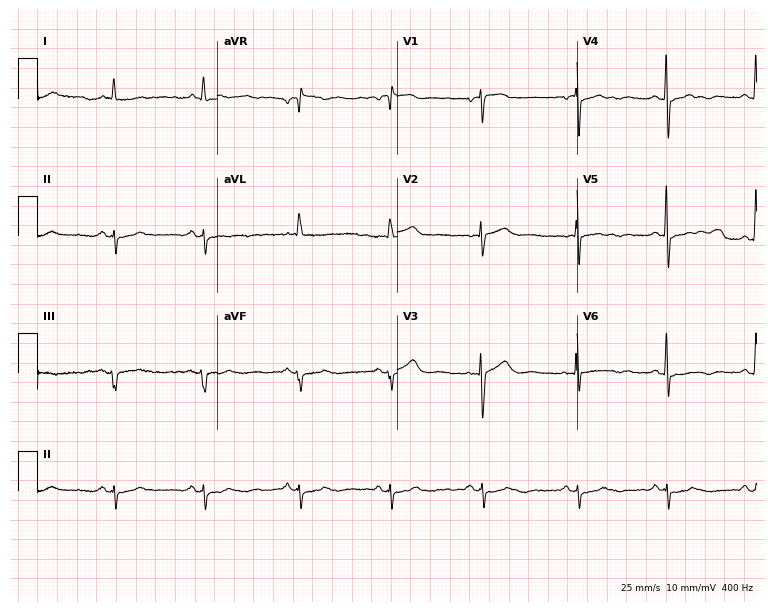
ECG — a 74-year-old female patient. Screened for six findings — first-degree AV block, right bundle branch block (RBBB), left bundle branch block (LBBB), sinus bradycardia, atrial fibrillation (AF), sinus tachycardia — none is recorded.